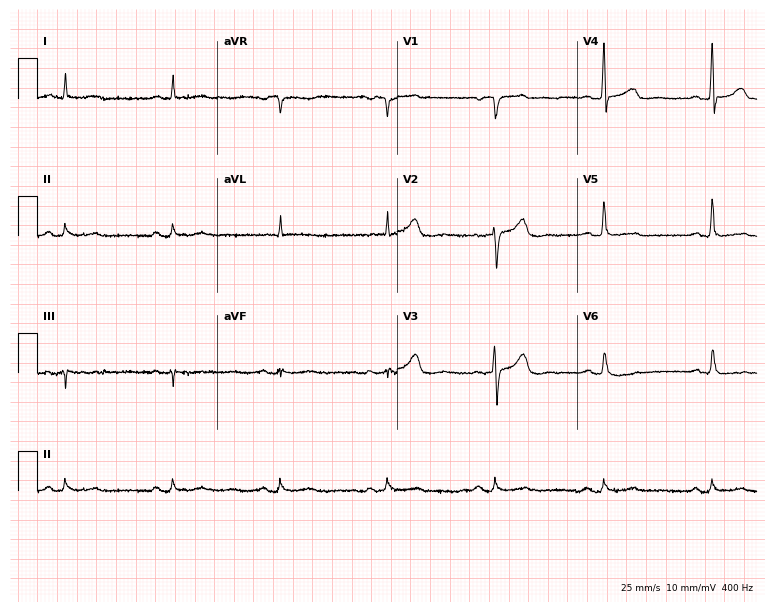
Resting 12-lead electrocardiogram (7.3-second recording at 400 Hz). Patient: a male, 82 years old. None of these six findings is recorded: first-degree AV block, right bundle branch block, left bundle branch block, sinus bradycardia, atrial fibrillation, sinus tachycardia.